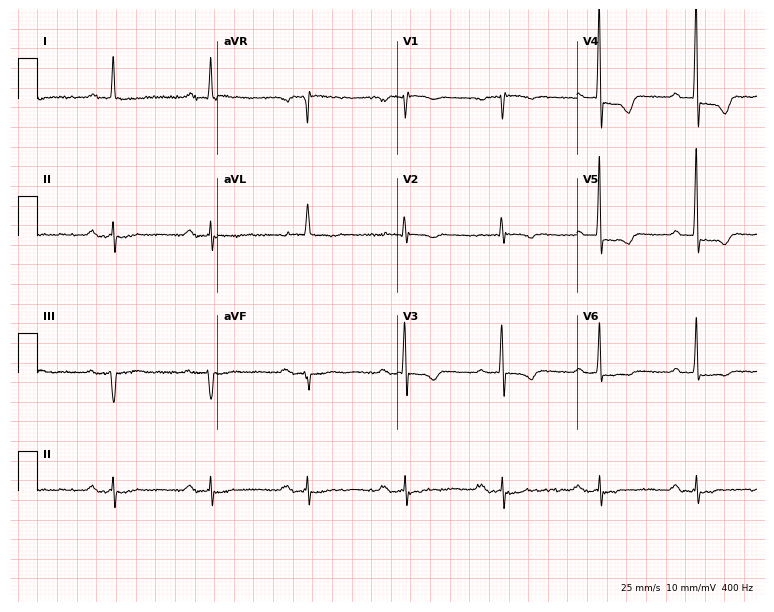
Resting 12-lead electrocardiogram. Patient: a male, 69 years old. None of these six findings is recorded: first-degree AV block, right bundle branch block, left bundle branch block, sinus bradycardia, atrial fibrillation, sinus tachycardia.